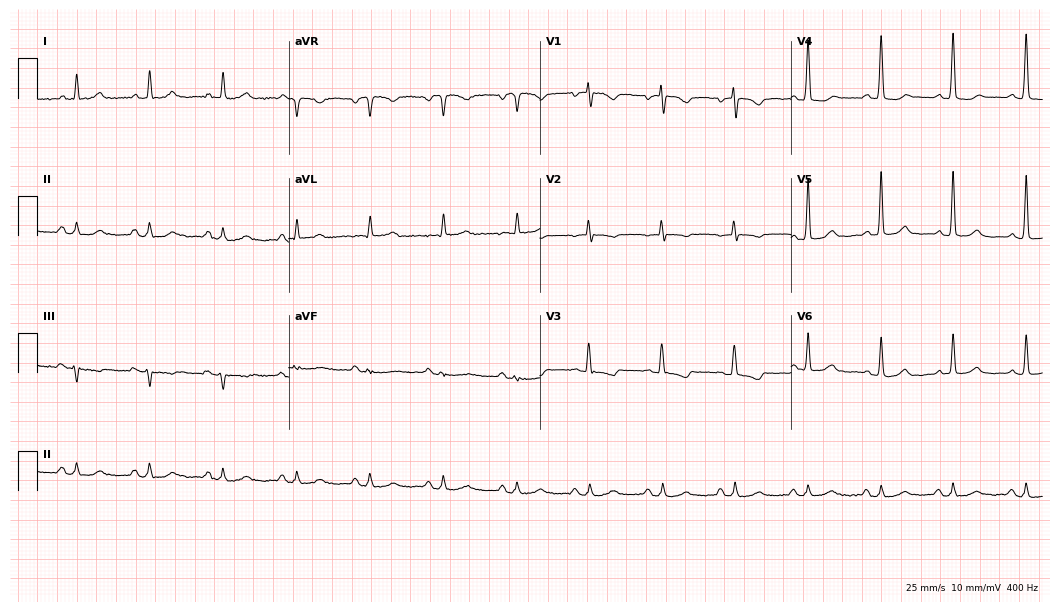
12-lead ECG (10.2-second recording at 400 Hz) from a female, 75 years old. Screened for six findings — first-degree AV block, right bundle branch block, left bundle branch block, sinus bradycardia, atrial fibrillation, sinus tachycardia — none is recorded. Other findings, if any, are not listed.